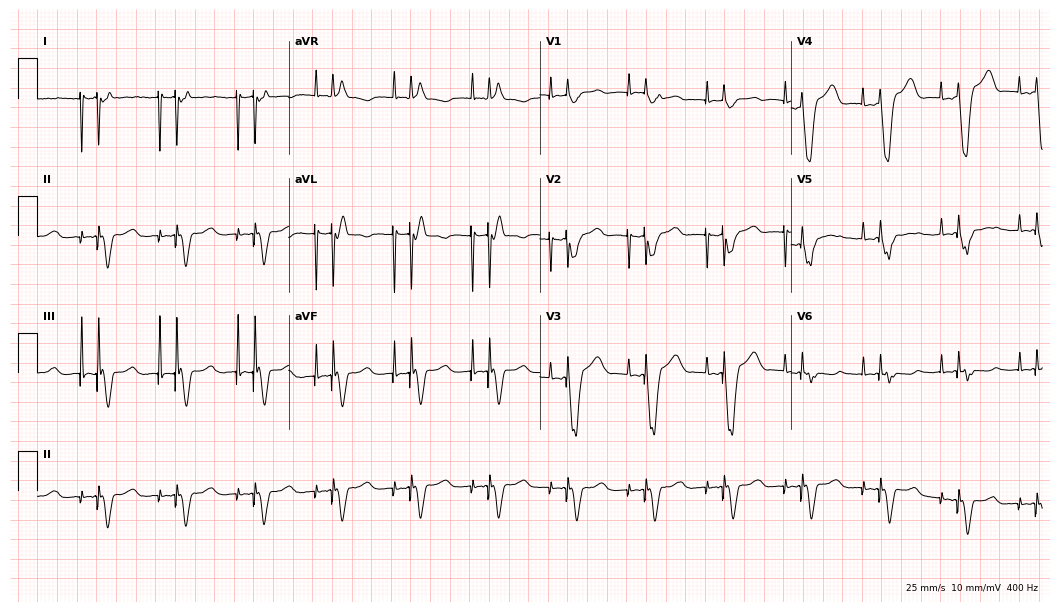
Electrocardiogram (10.2-second recording at 400 Hz), a male, 65 years old. Of the six screened findings (first-degree AV block, right bundle branch block, left bundle branch block, sinus bradycardia, atrial fibrillation, sinus tachycardia), none is recorded.